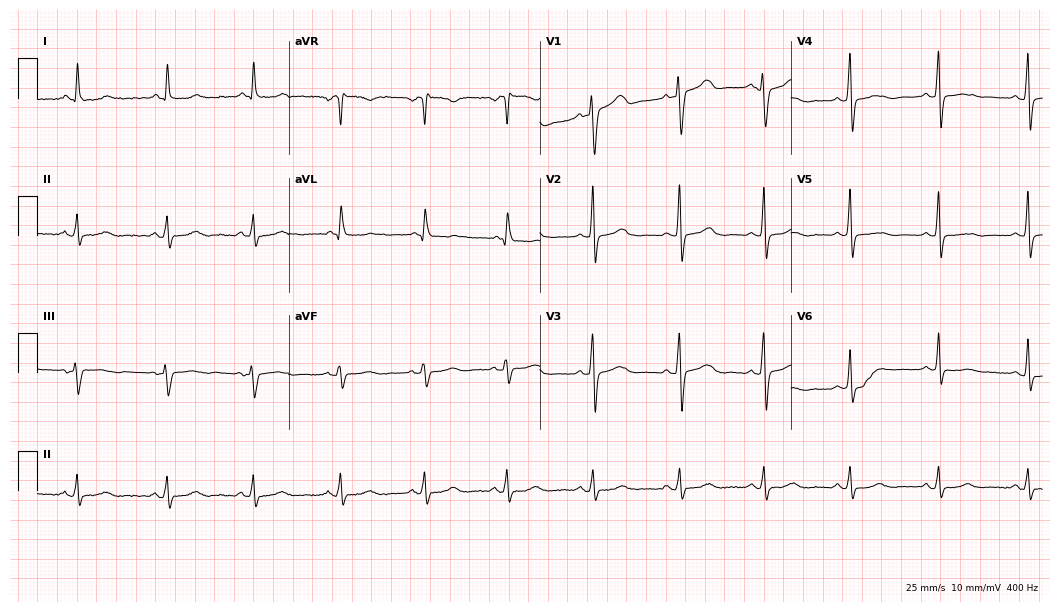
Electrocardiogram (10.2-second recording at 400 Hz), a female, 80 years old. Of the six screened findings (first-degree AV block, right bundle branch block (RBBB), left bundle branch block (LBBB), sinus bradycardia, atrial fibrillation (AF), sinus tachycardia), none is recorded.